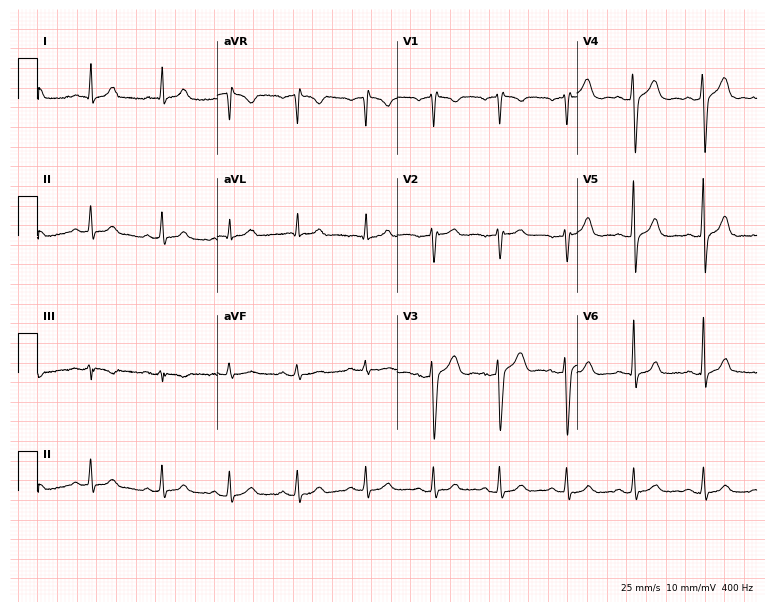
Resting 12-lead electrocardiogram (7.3-second recording at 400 Hz). Patient: a male, 38 years old. Read as a normal ECG.